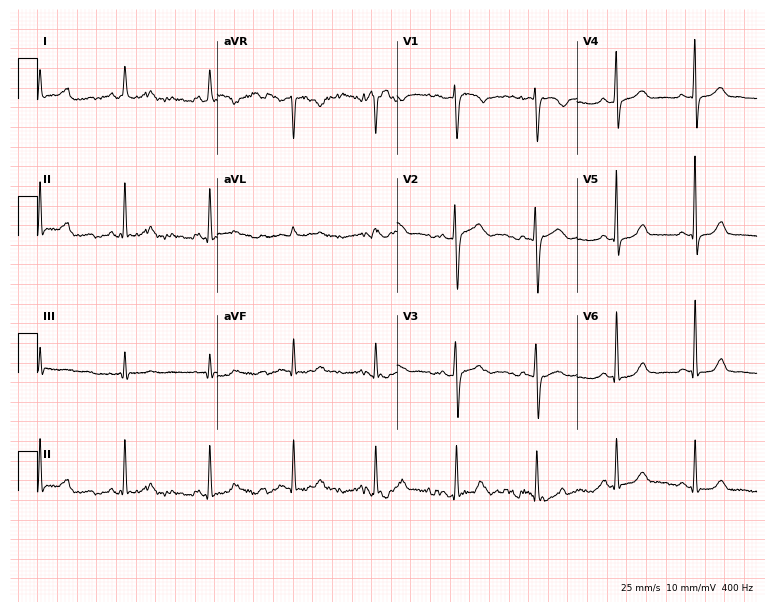
Standard 12-lead ECG recorded from a 52-year-old woman (7.3-second recording at 400 Hz). Read as a normal ECG.